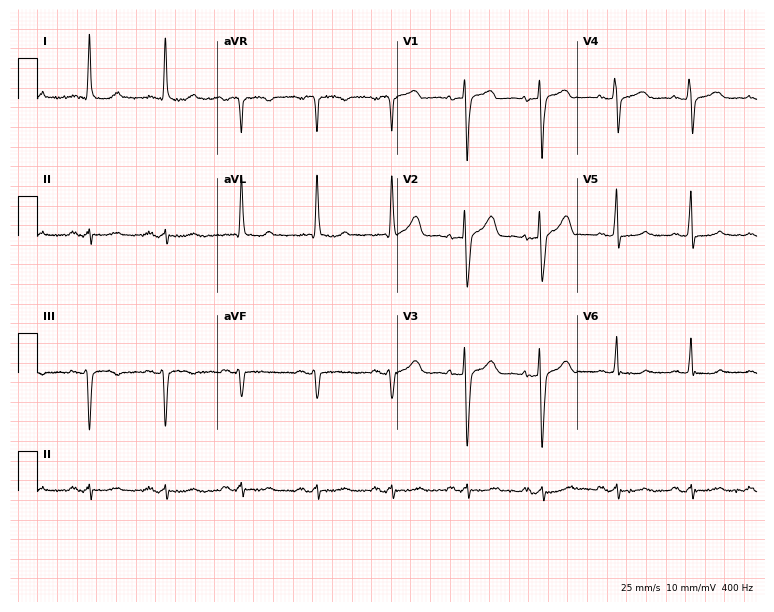
Standard 12-lead ECG recorded from a woman, 76 years old (7.3-second recording at 400 Hz). None of these six findings is recorded: first-degree AV block, right bundle branch block, left bundle branch block, sinus bradycardia, atrial fibrillation, sinus tachycardia. Findings outside these six are not listed.